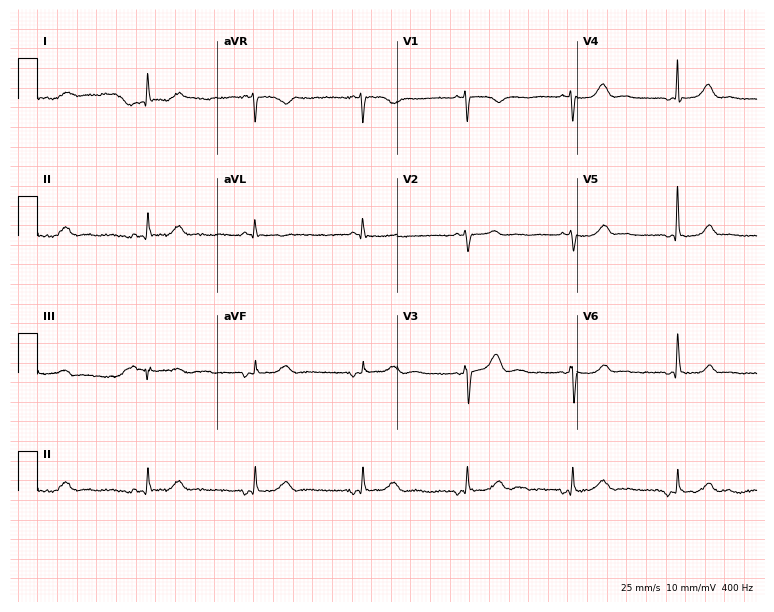
12-lead ECG from a woman, 83 years old. Screened for six findings — first-degree AV block, right bundle branch block, left bundle branch block, sinus bradycardia, atrial fibrillation, sinus tachycardia — none is recorded. Only these six findings were labelled.